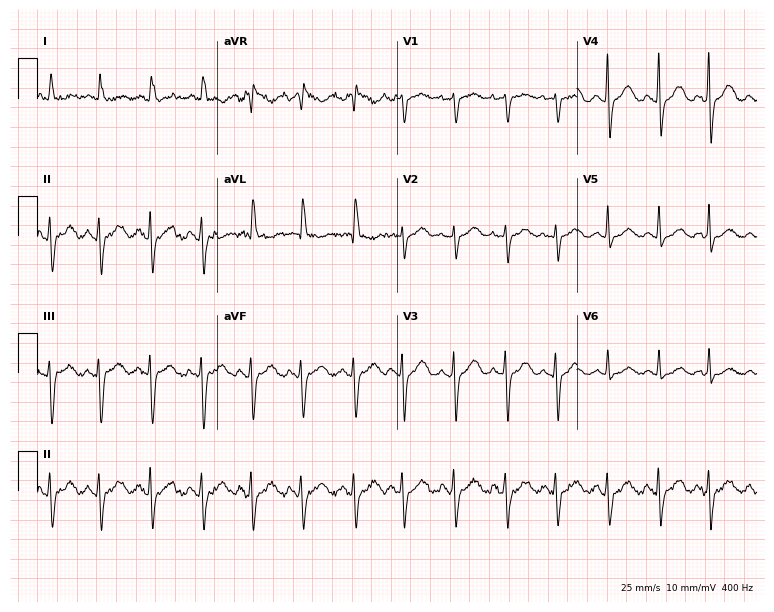
Electrocardiogram, a female, 85 years old. Interpretation includes sinus tachycardia (a sinus rate of 100 beats per minute or more).